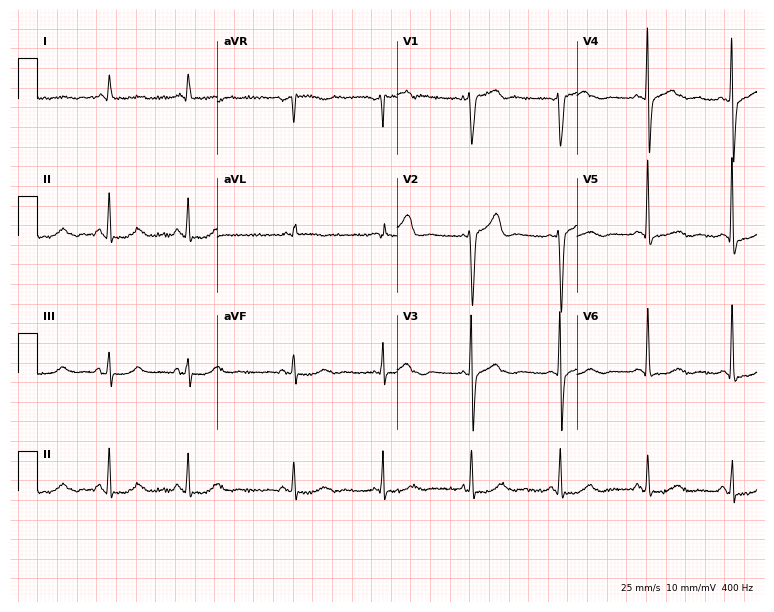
Electrocardiogram (7.3-second recording at 400 Hz), a male patient, 70 years old. Of the six screened findings (first-degree AV block, right bundle branch block, left bundle branch block, sinus bradycardia, atrial fibrillation, sinus tachycardia), none is recorded. Findings outside these six are not listed.